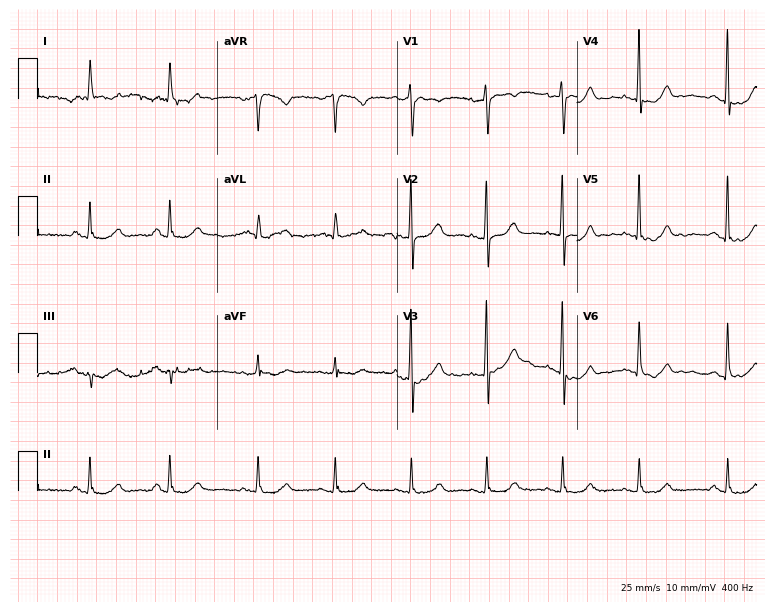
Standard 12-lead ECG recorded from a 77-year-old female patient. None of these six findings is recorded: first-degree AV block, right bundle branch block, left bundle branch block, sinus bradycardia, atrial fibrillation, sinus tachycardia.